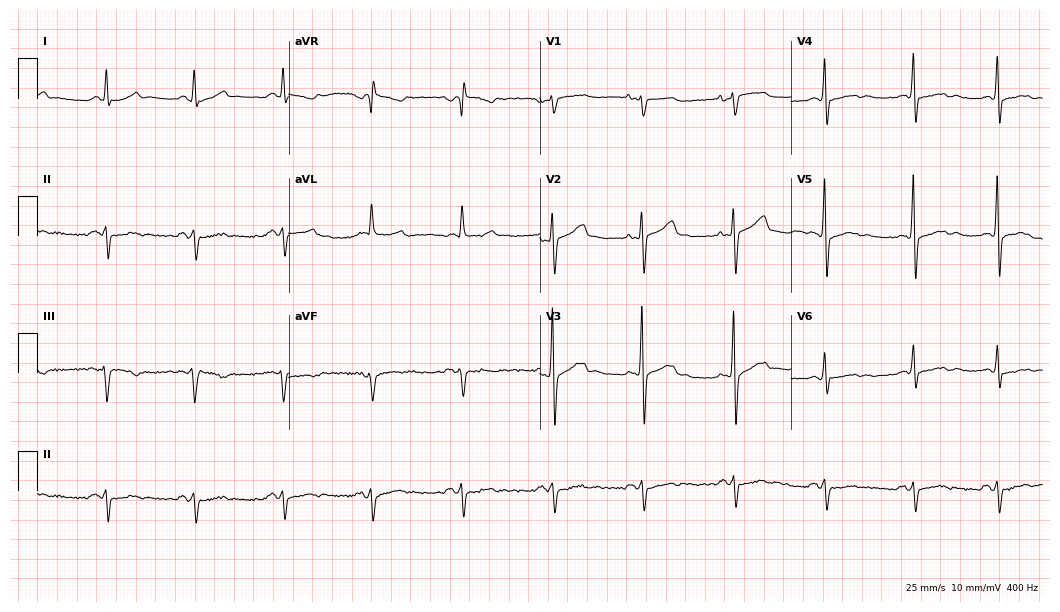
Resting 12-lead electrocardiogram. Patient: a 44-year-old male. None of these six findings is recorded: first-degree AV block, right bundle branch block, left bundle branch block, sinus bradycardia, atrial fibrillation, sinus tachycardia.